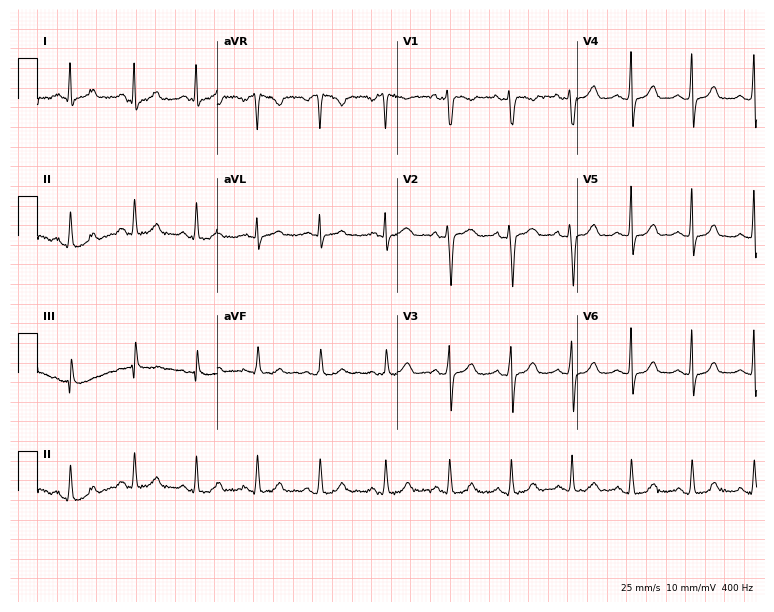
Resting 12-lead electrocardiogram (7.3-second recording at 400 Hz). Patient: a woman, 33 years old. None of these six findings is recorded: first-degree AV block, right bundle branch block, left bundle branch block, sinus bradycardia, atrial fibrillation, sinus tachycardia.